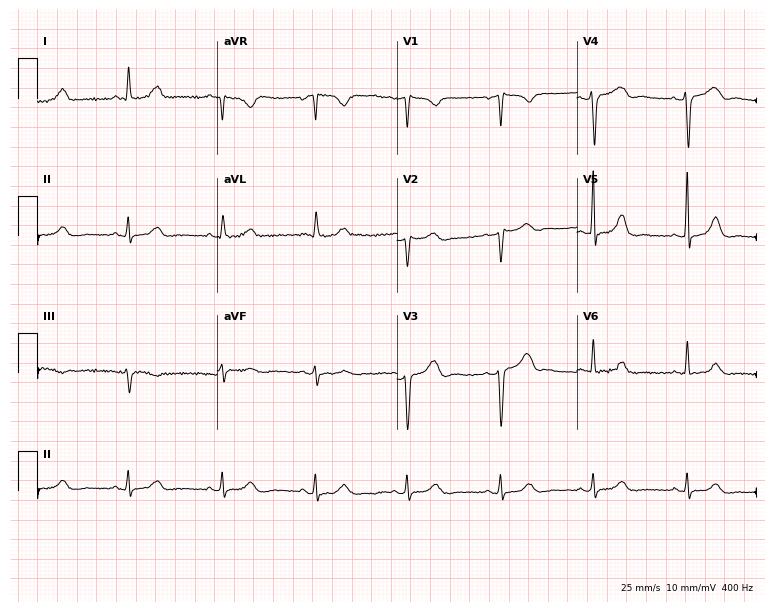
12-lead ECG (7.3-second recording at 400 Hz) from a 56-year-old female. Screened for six findings — first-degree AV block, right bundle branch block, left bundle branch block, sinus bradycardia, atrial fibrillation, sinus tachycardia — none is recorded. Other findings, if any, are not listed.